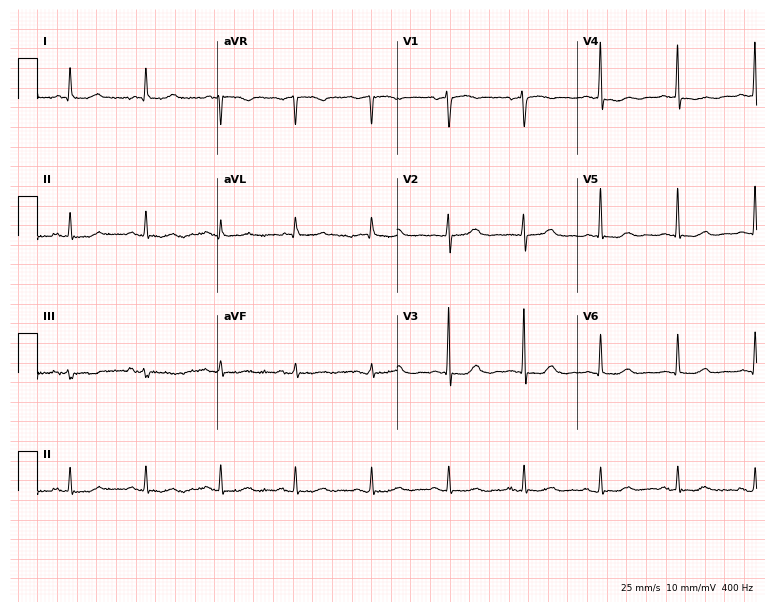
Resting 12-lead electrocardiogram (7.3-second recording at 400 Hz). Patient: a 79-year-old female. None of these six findings is recorded: first-degree AV block, right bundle branch block, left bundle branch block, sinus bradycardia, atrial fibrillation, sinus tachycardia. Findings outside these six are not listed.